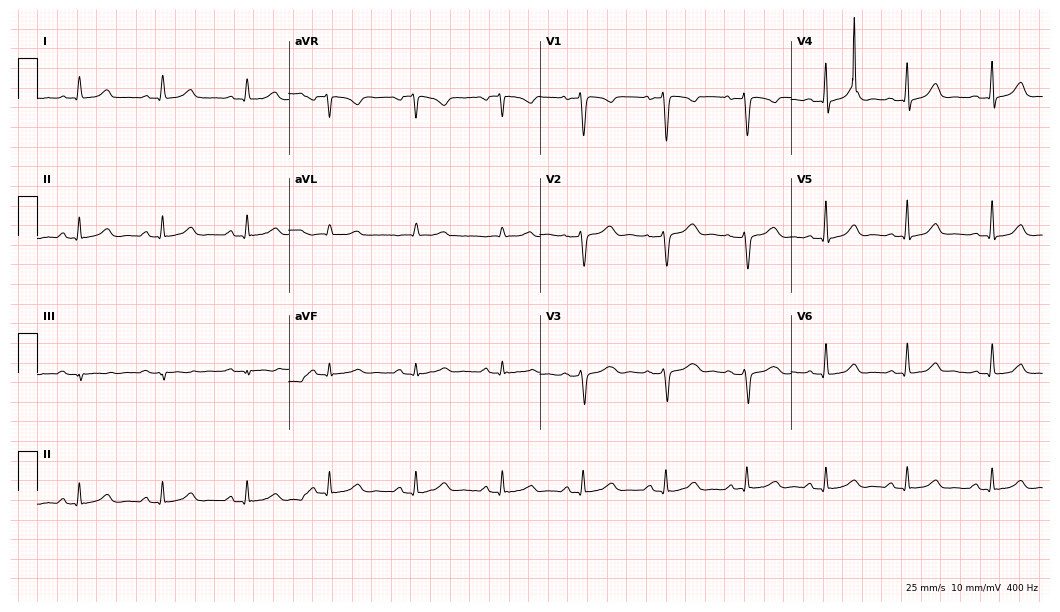
ECG — a female, 41 years old. Screened for six findings — first-degree AV block, right bundle branch block (RBBB), left bundle branch block (LBBB), sinus bradycardia, atrial fibrillation (AF), sinus tachycardia — none is recorded. Findings outside these six are not listed.